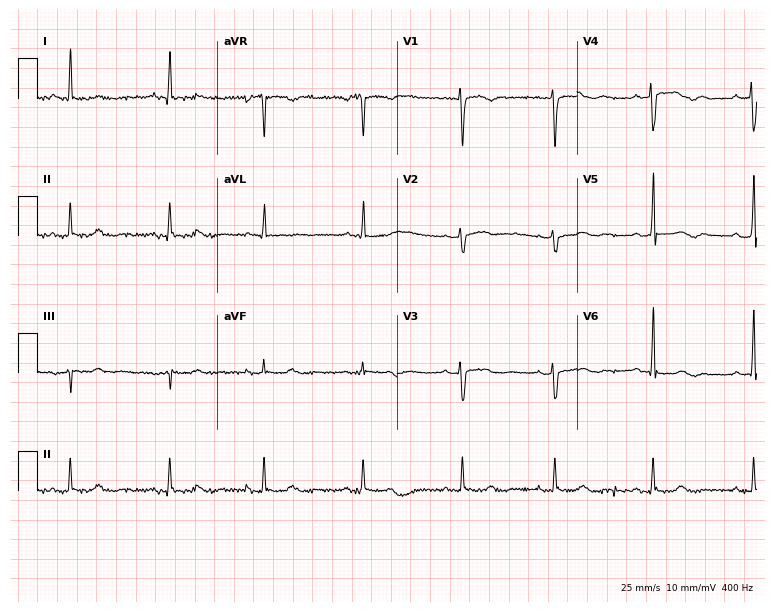
ECG — a 50-year-old woman. Screened for six findings — first-degree AV block, right bundle branch block (RBBB), left bundle branch block (LBBB), sinus bradycardia, atrial fibrillation (AF), sinus tachycardia — none is recorded. Only these six findings were labelled.